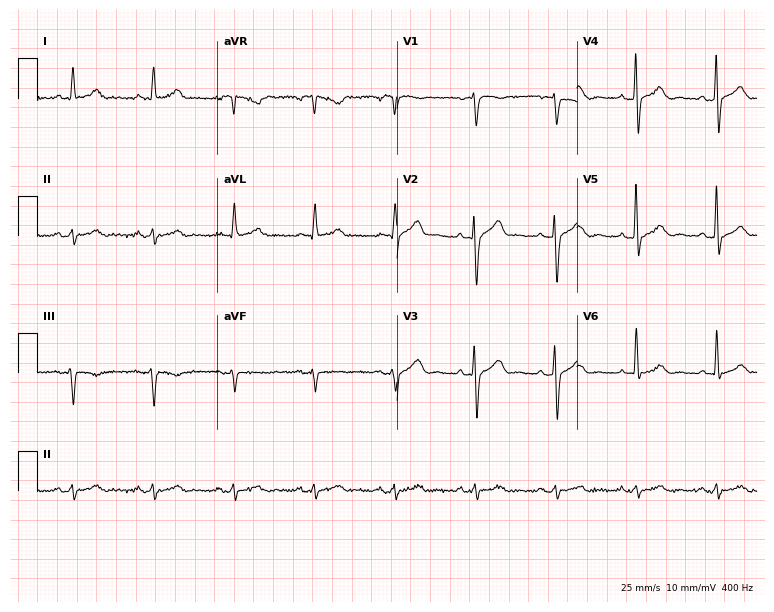
12-lead ECG from a male patient, 54 years old (7.3-second recording at 400 Hz). No first-degree AV block, right bundle branch block, left bundle branch block, sinus bradycardia, atrial fibrillation or sinus tachycardia recorded for this tracing. Other findings, if any, are not listed.